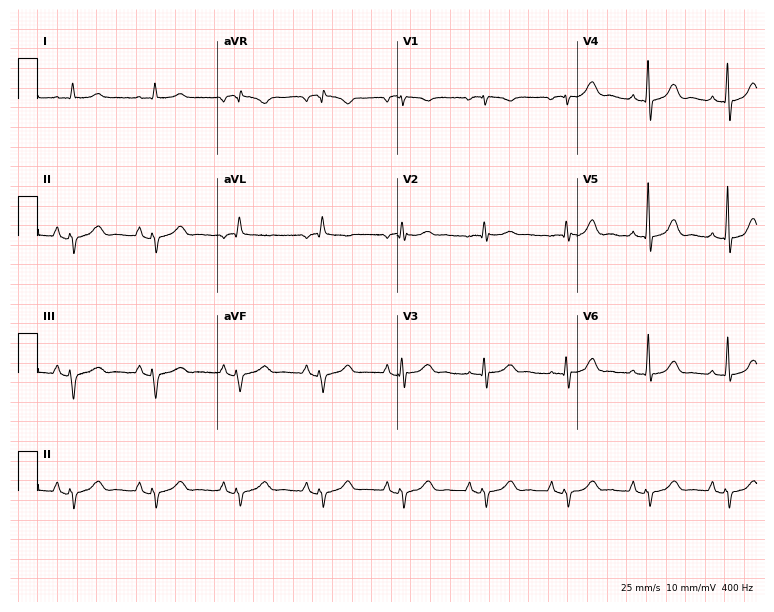
Standard 12-lead ECG recorded from a man, 83 years old (7.3-second recording at 400 Hz). None of these six findings is recorded: first-degree AV block, right bundle branch block (RBBB), left bundle branch block (LBBB), sinus bradycardia, atrial fibrillation (AF), sinus tachycardia. Findings outside these six are not listed.